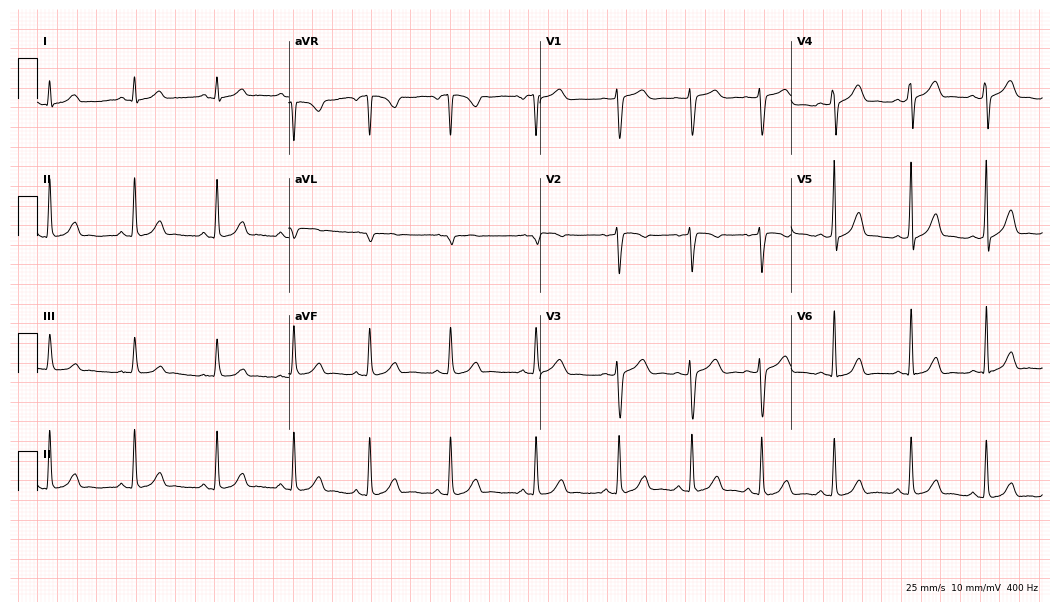
Standard 12-lead ECG recorded from a female, 35 years old. None of these six findings is recorded: first-degree AV block, right bundle branch block, left bundle branch block, sinus bradycardia, atrial fibrillation, sinus tachycardia. Only these six findings were labelled.